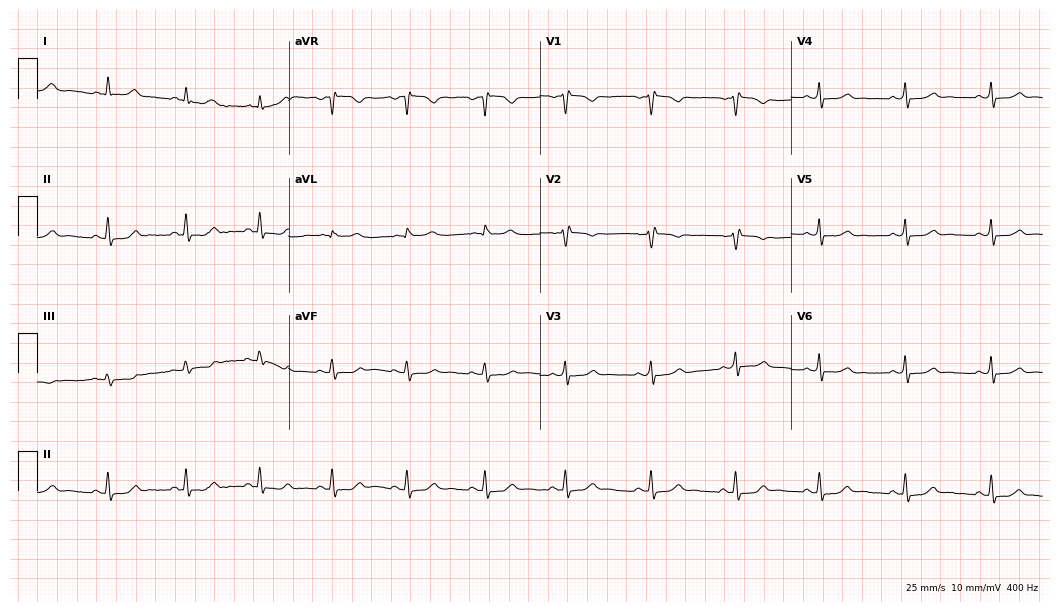
ECG (10.2-second recording at 400 Hz) — a female patient, 51 years old. Labelled as a normal ECG.